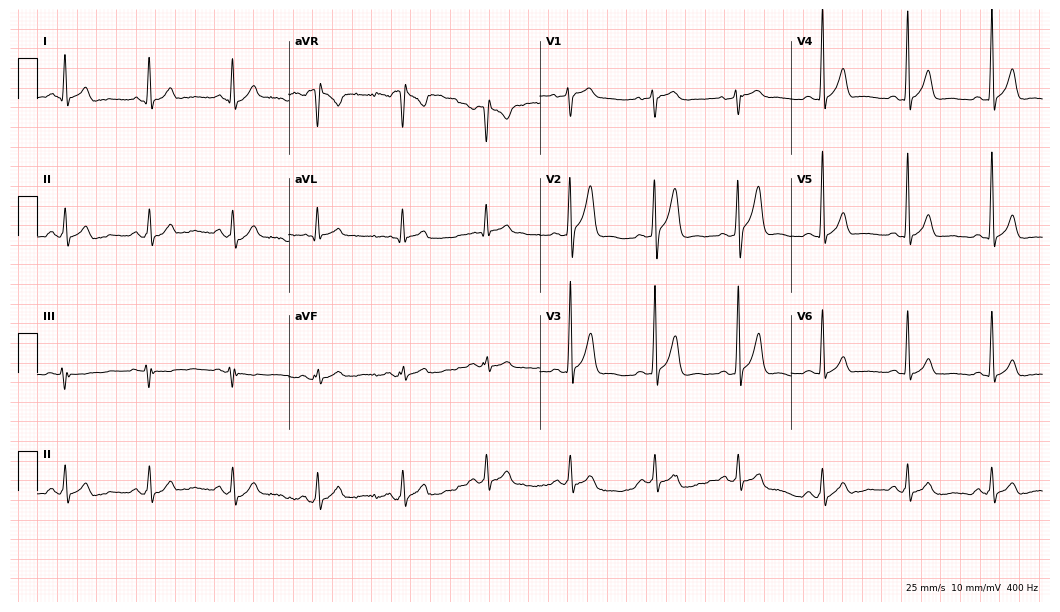
Standard 12-lead ECG recorded from a man, 48 years old (10.2-second recording at 400 Hz). Read as a normal ECG.